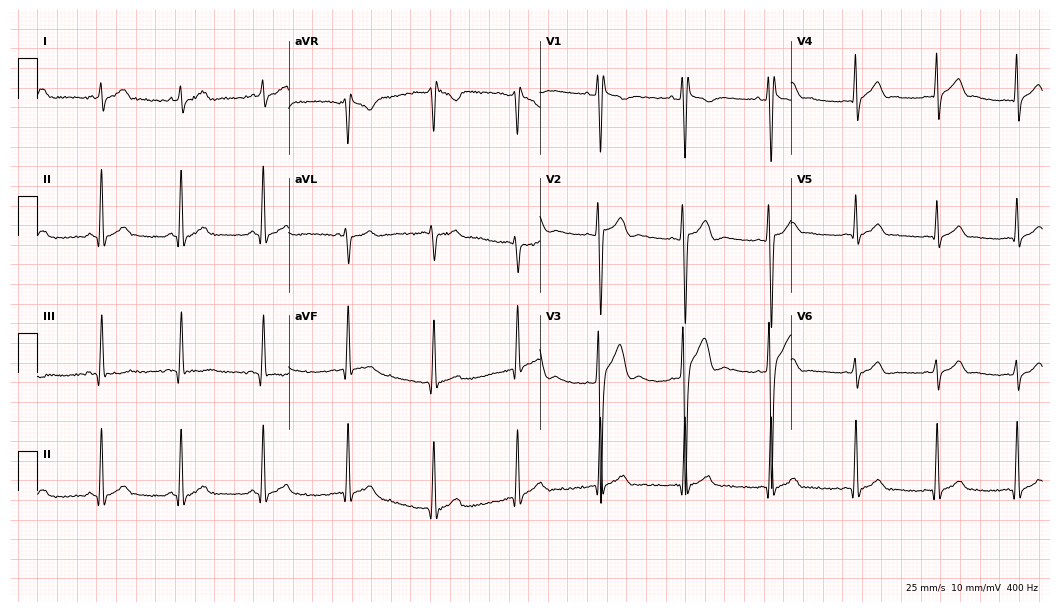
Electrocardiogram (10.2-second recording at 400 Hz), a man, 22 years old. Of the six screened findings (first-degree AV block, right bundle branch block (RBBB), left bundle branch block (LBBB), sinus bradycardia, atrial fibrillation (AF), sinus tachycardia), none is recorded.